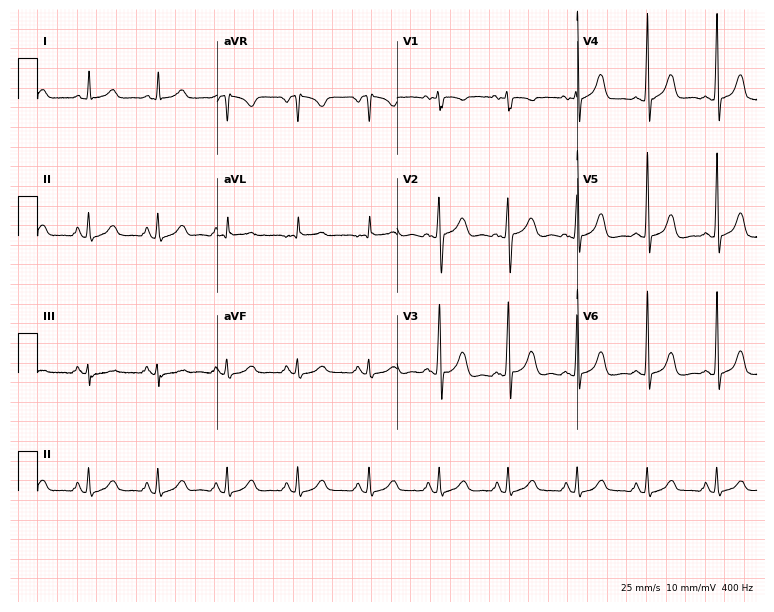
12-lead ECG from a 42-year-old female (7.3-second recording at 400 Hz). Recorded interpretation: within normal limits.